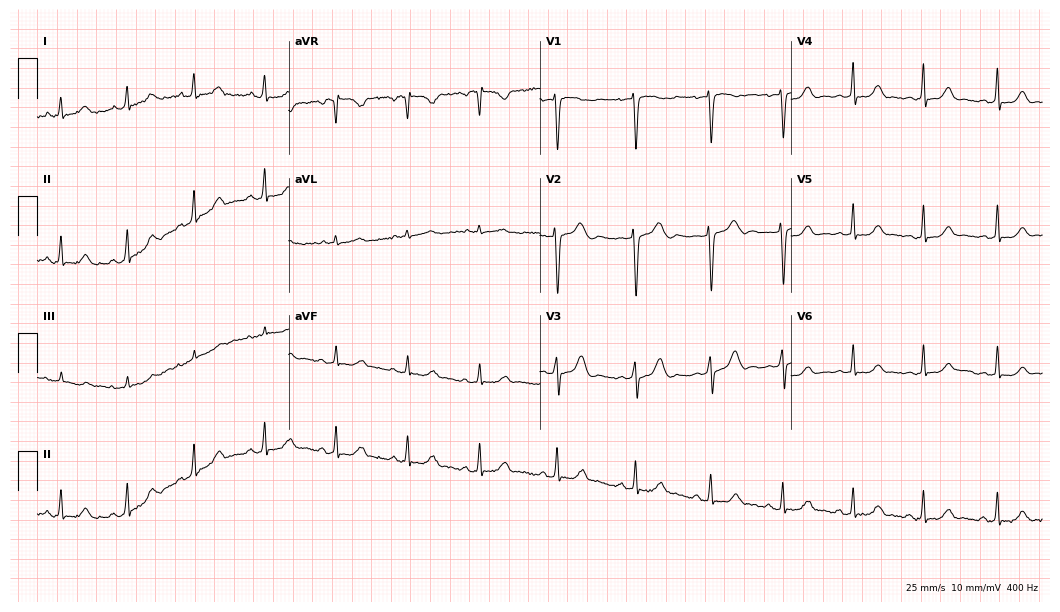
ECG (10.2-second recording at 400 Hz) — a 32-year-old woman. Labelled as a normal ECG.